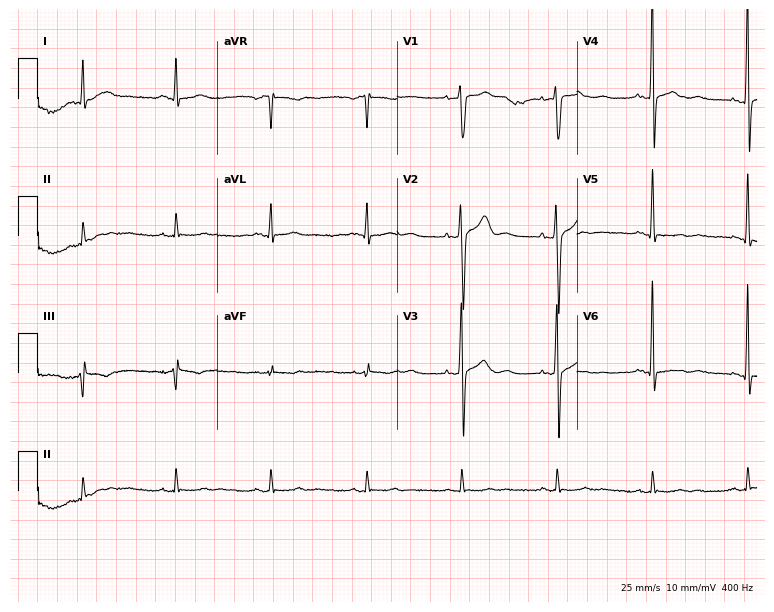
12-lead ECG from a male patient, 47 years old. Screened for six findings — first-degree AV block, right bundle branch block, left bundle branch block, sinus bradycardia, atrial fibrillation, sinus tachycardia — none is recorded.